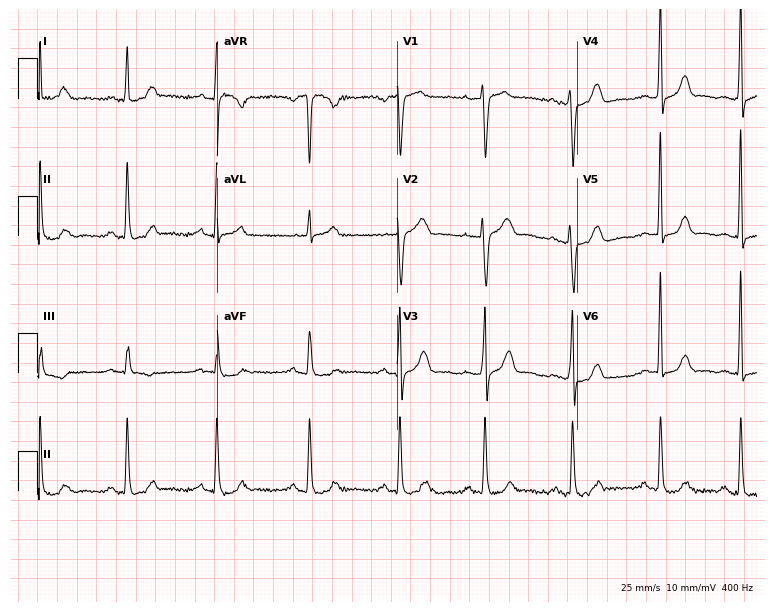
ECG — a 41-year-old female patient. Screened for six findings — first-degree AV block, right bundle branch block, left bundle branch block, sinus bradycardia, atrial fibrillation, sinus tachycardia — none is recorded.